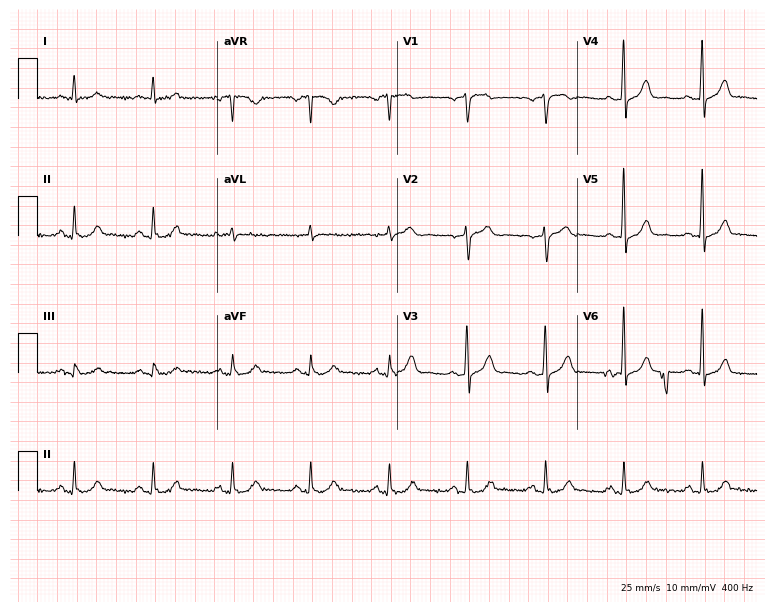
Electrocardiogram, a 67-year-old male patient. Overall reading on record: normal ECG.